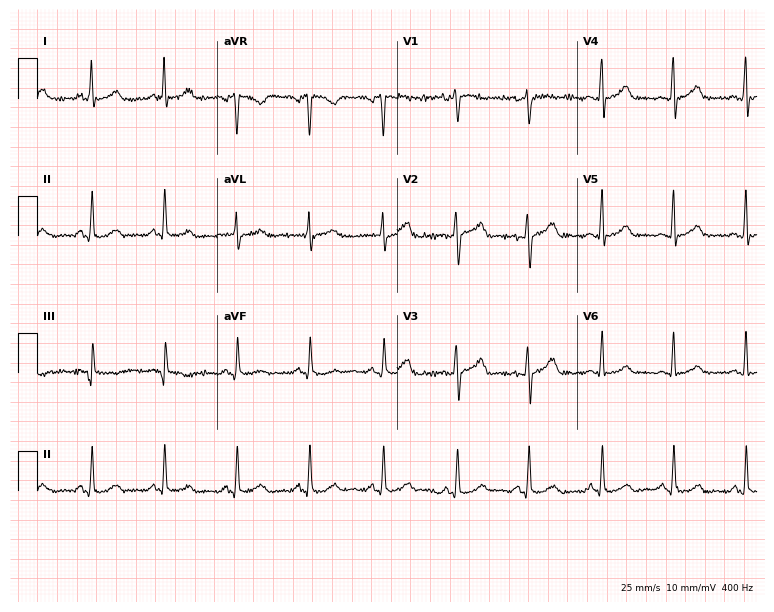
Electrocardiogram, a 43-year-old woman. Of the six screened findings (first-degree AV block, right bundle branch block, left bundle branch block, sinus bradycardia, atrial fibrillation, sinus tachycardia), none is recorded.